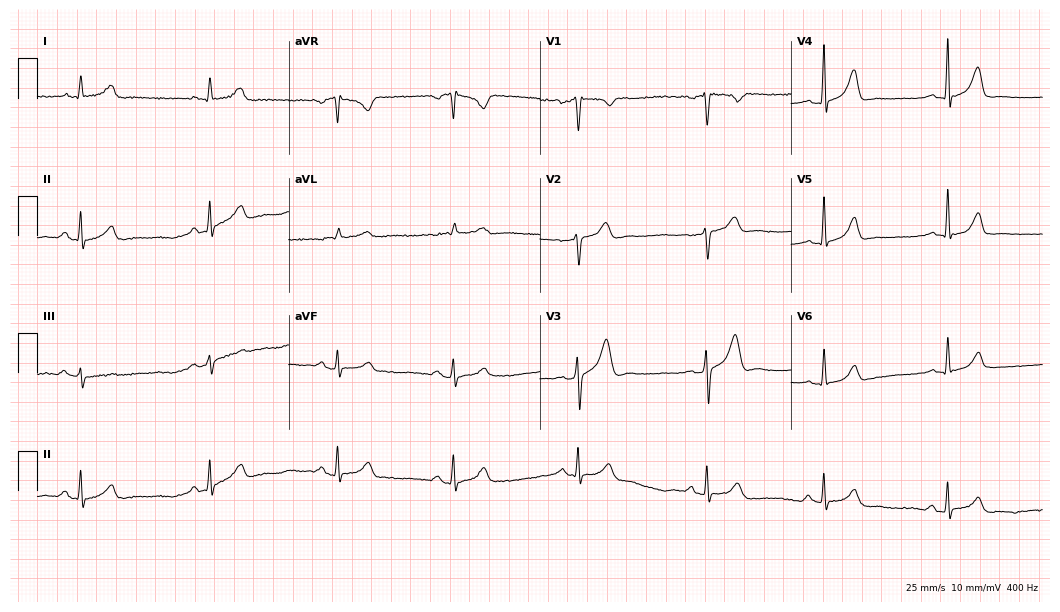
ECG — a male patient, 37 years old. Findings include sinus bradycardia (a sinus rate of 50 beats per minute or less).